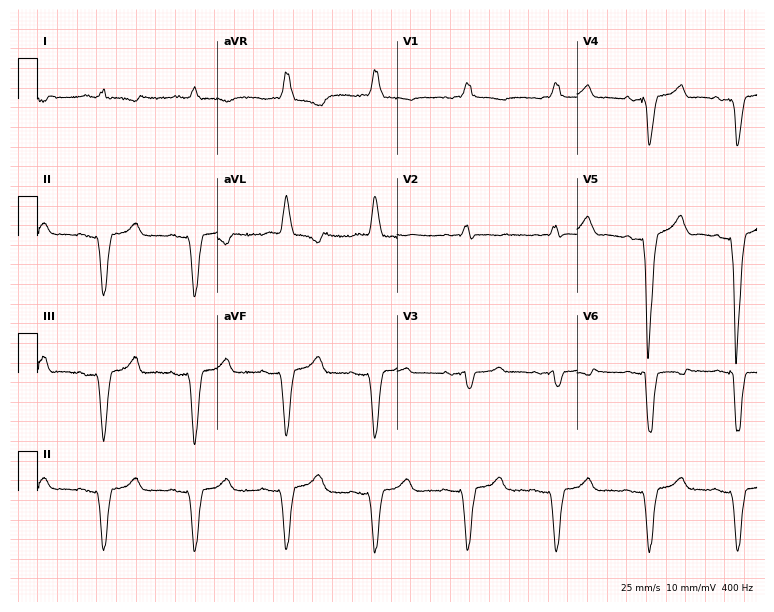
Standard 12-lead ECG recorded from a female patient, 82 years old. None of these six findings is recorded: first-degree AV block, right bundle branch block (RBBB), left bundle branch block (LBBB), sinus bradycardia, atrial fibrillation (AF), sinus tachycardia. Findings outside these six are not listed.